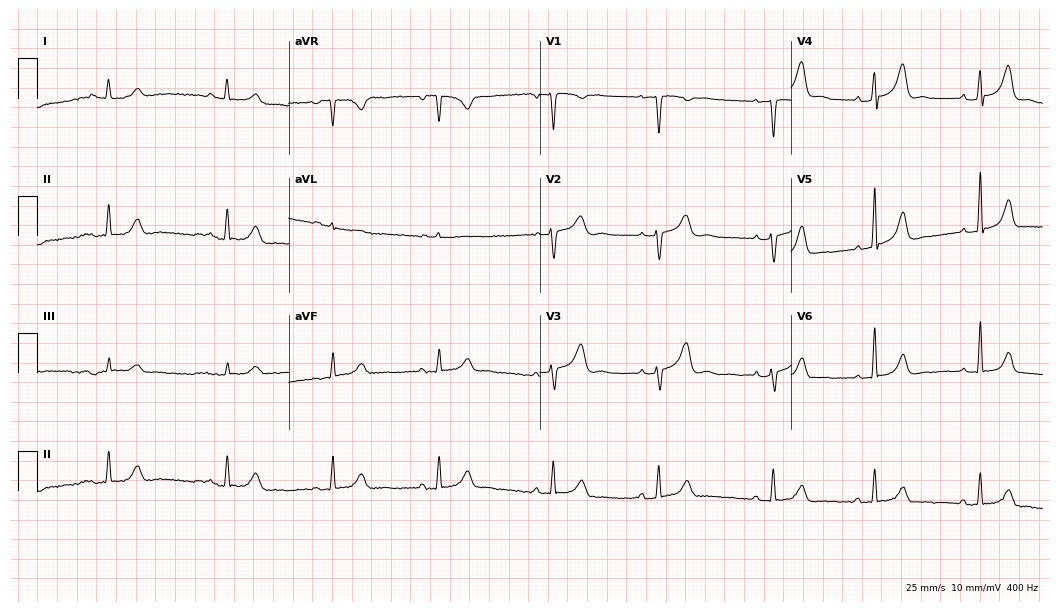
ECG (10.2-second recording at 400 Hz) — a 28-year-old woman. Screened for six findings — first-degree AV block, right bundle branch block, left bundle branch block, sinus bradycardia, atrial fibrillation, sinus tachycardia — none is recorded.